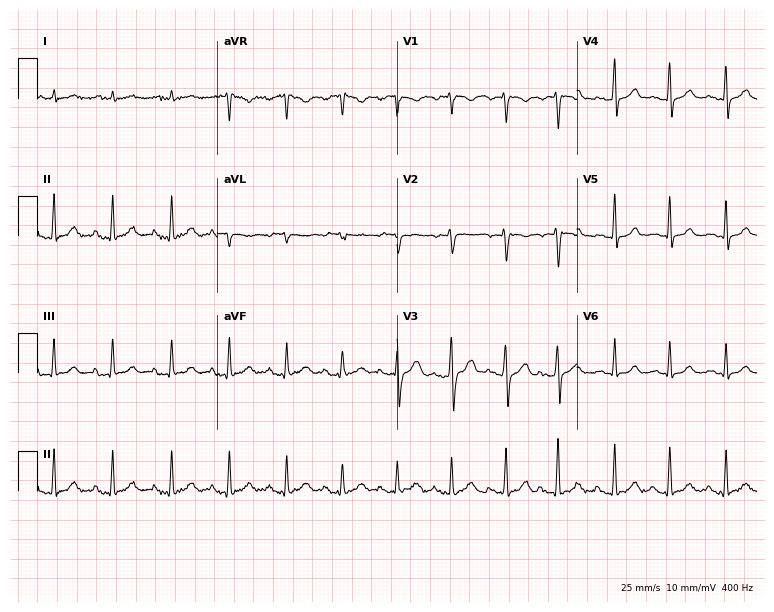
Electrocardiogram, a 56-year-old female. Of the six screened findings (first-degree AV block, right bundle branch block, left bundle branch block, sinus bradycardia, atrial fibrillation, sinus tachycardia), none is recorded. Only these six findings were labelled.